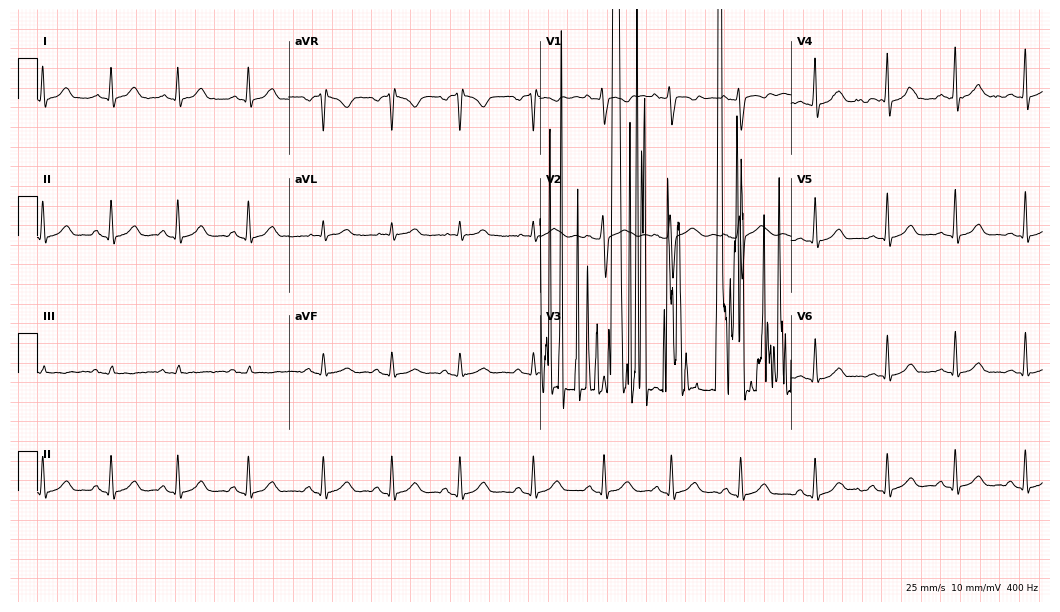
12-lead ECG from a female, 17 years old. Screened for six findings — first-degree AV block, right bundle branch block, left bundle branch block, sinus bradycardia, atrial fibrillation, sinus tachycardia — none is recorded.